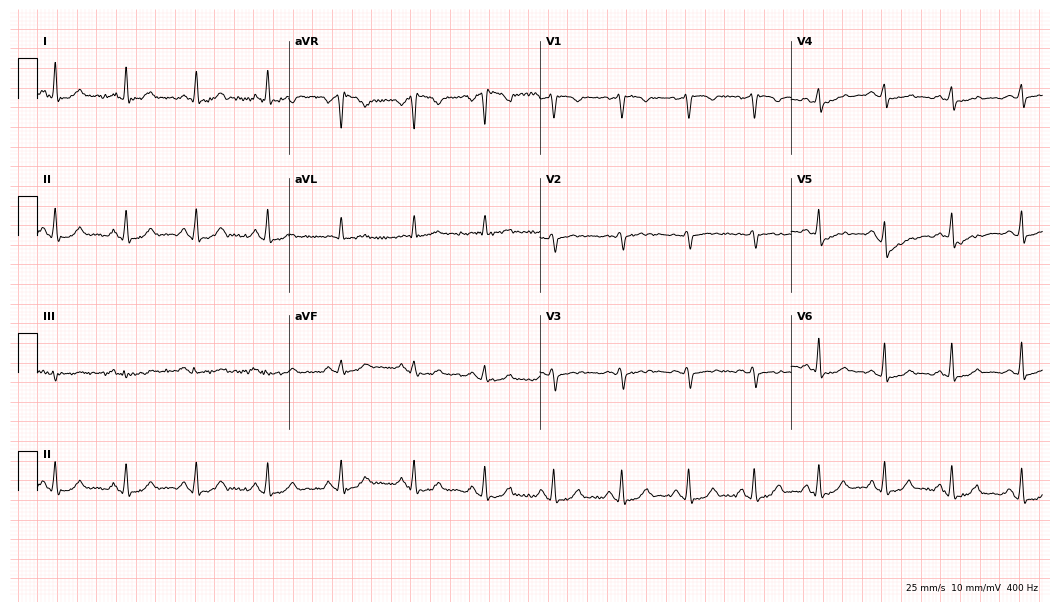
ECG (10.2-second recording at 400 Hz) — a 47-year-old woman. Screened for six findings — first-degree AV block, right bundle branch block, left bundle branch block, sinus bradycardia, atrial fibrillation, sinus tachycardia — none is recorded.